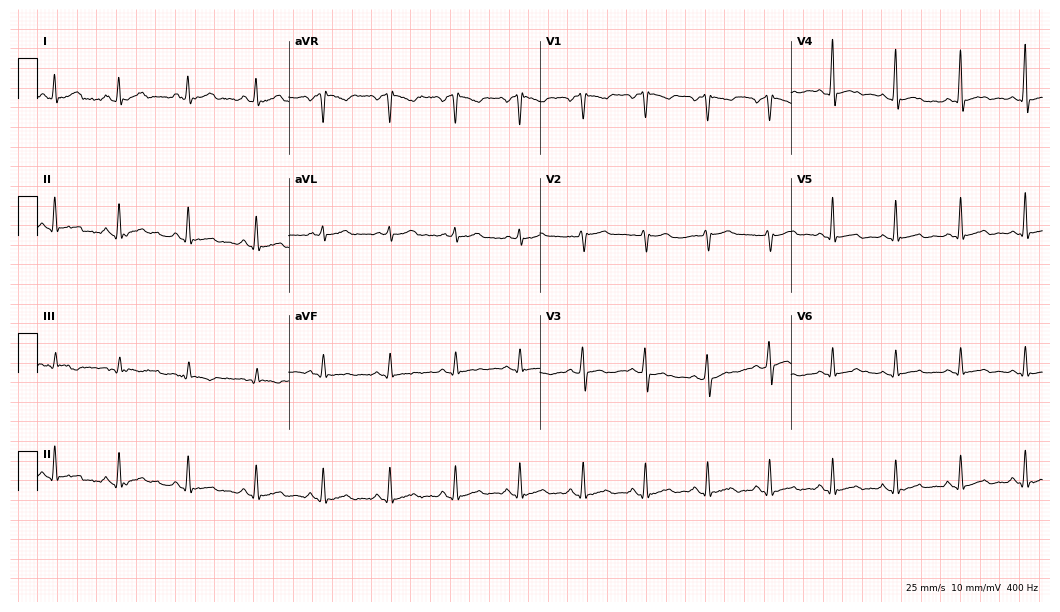
Standard 12-lead ECG recorded from a male, 36 years old. None of these six findings is recorded: first-degree AV block, right bundle branch block, left bundle branch block, sinus bradycardia, atrial fibrillation, sinus tachycardia.